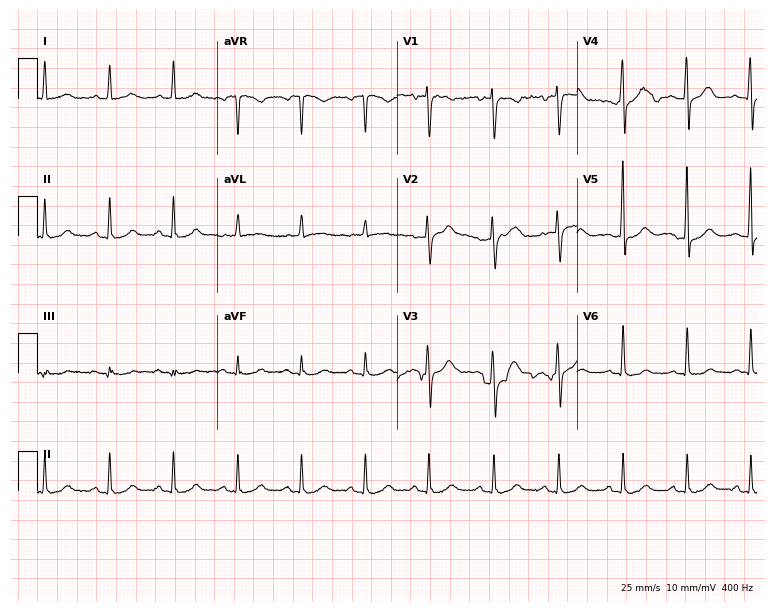
12-lead ECG from a woman, 53 years old. Labelled as a normal ECG.